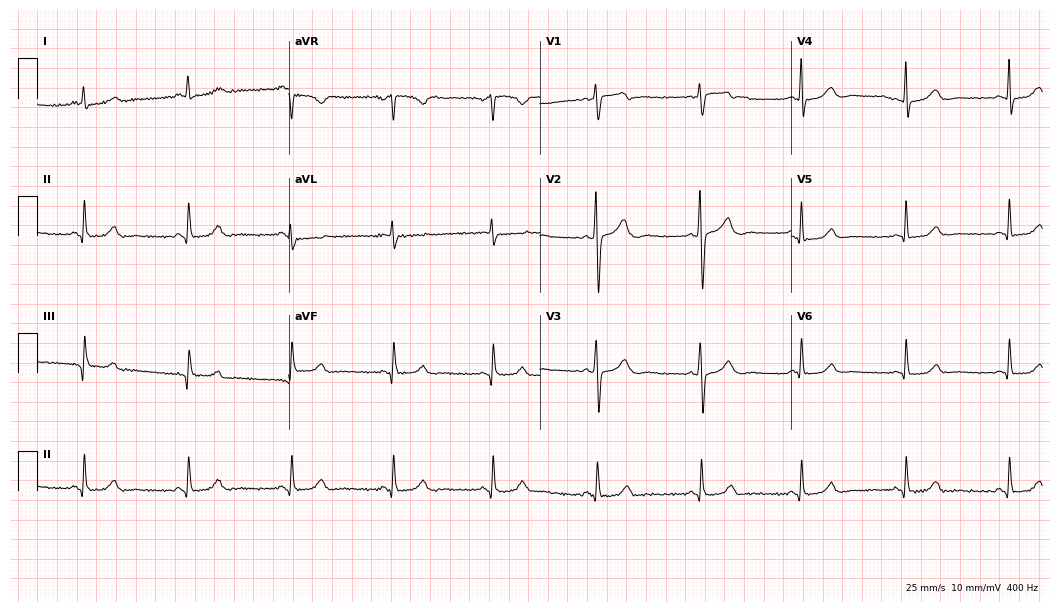
ECG — a woman, 42 years old. Labelled as a normal ECG.